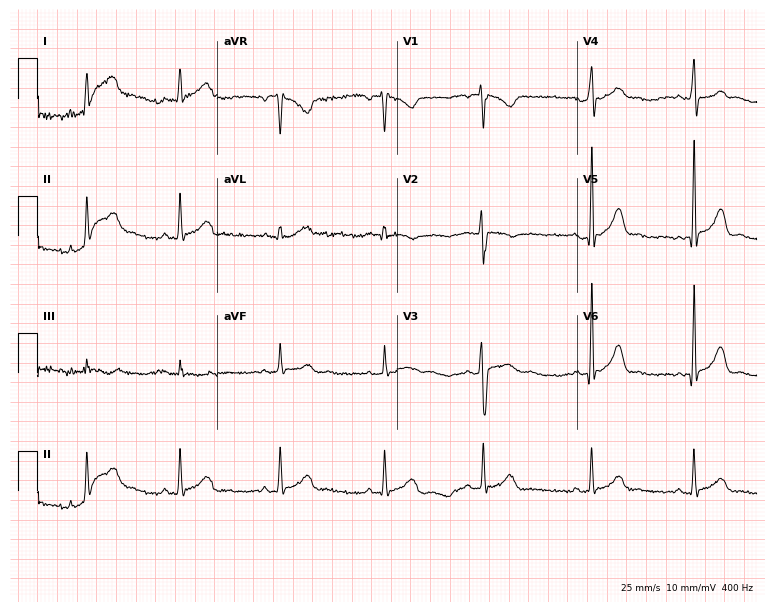
12-lead ECG from a female patient, 25 years old. Recorded interpretation: within normal limits.